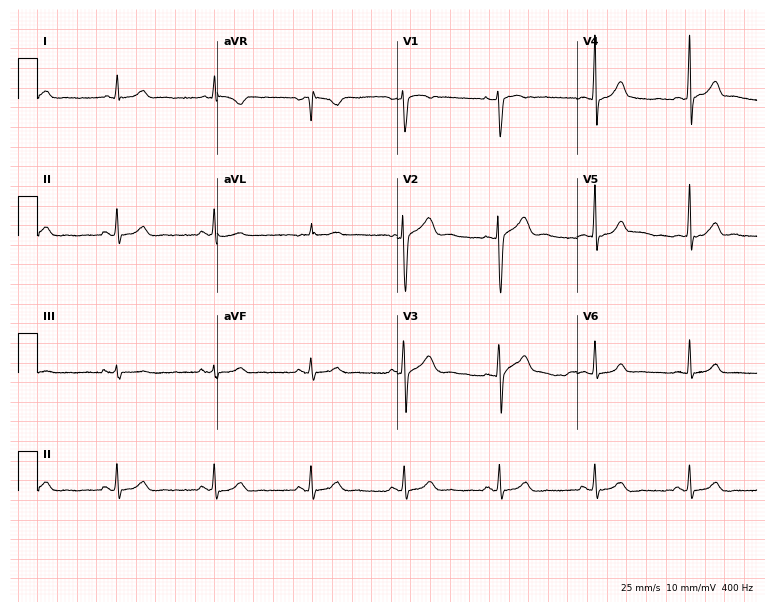
Standard 12-lead ECG recorded from a woman, 39 years old (7.3-second recording at 400 Hz). Read as a normal ECG.